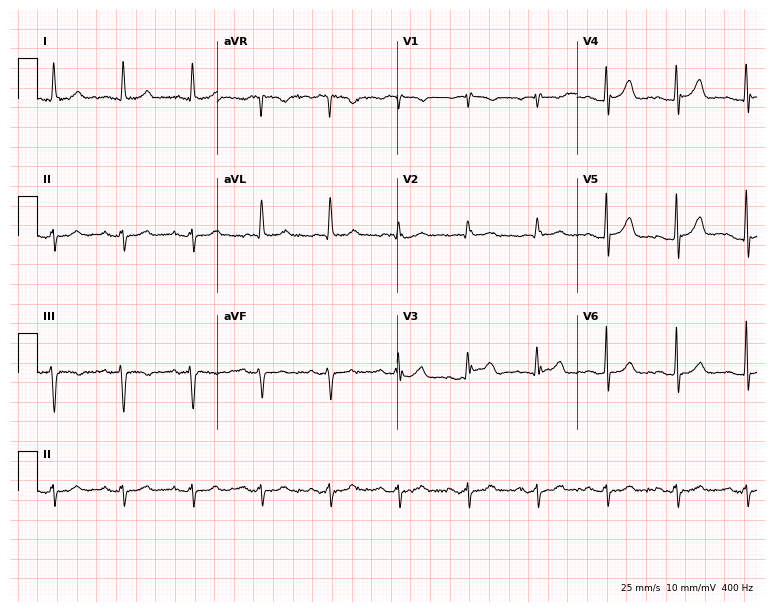
Electrocardiogram (7.3-second recording at 400 Hz), a man, 76 years old. Of the six screened findings (first-degree AV block, right bundle branch block, left bundle branch block, sinus bradycardia, atrial fibrillation, sinus tachycardia), none is recorded. Findings outside these six are not listed.